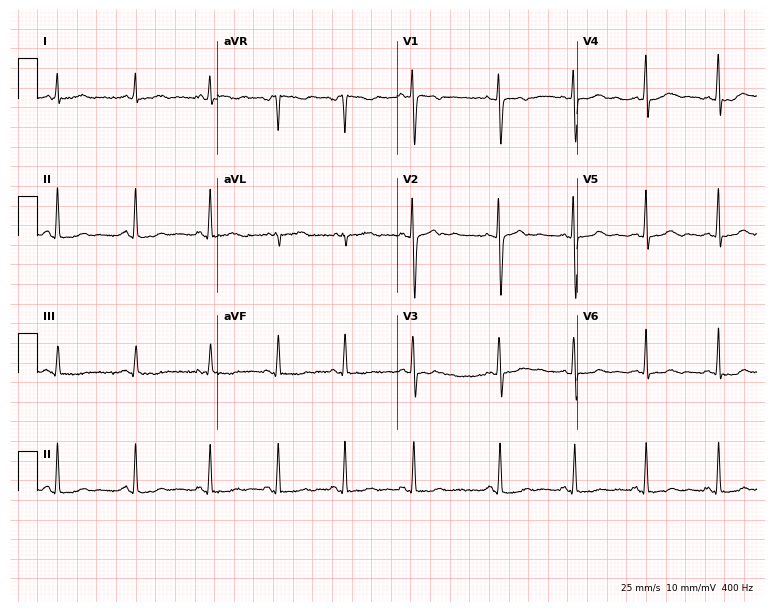
Standard 12-lead ECG recorded from a 25-year-old female (7.3-second recording at 400 Hz). None of these six findings is recorded: first-degree AV block, right bundle branch block, left bundle branch block, sinus bradycardia, atrial fibrillation, sinus tachycardia.